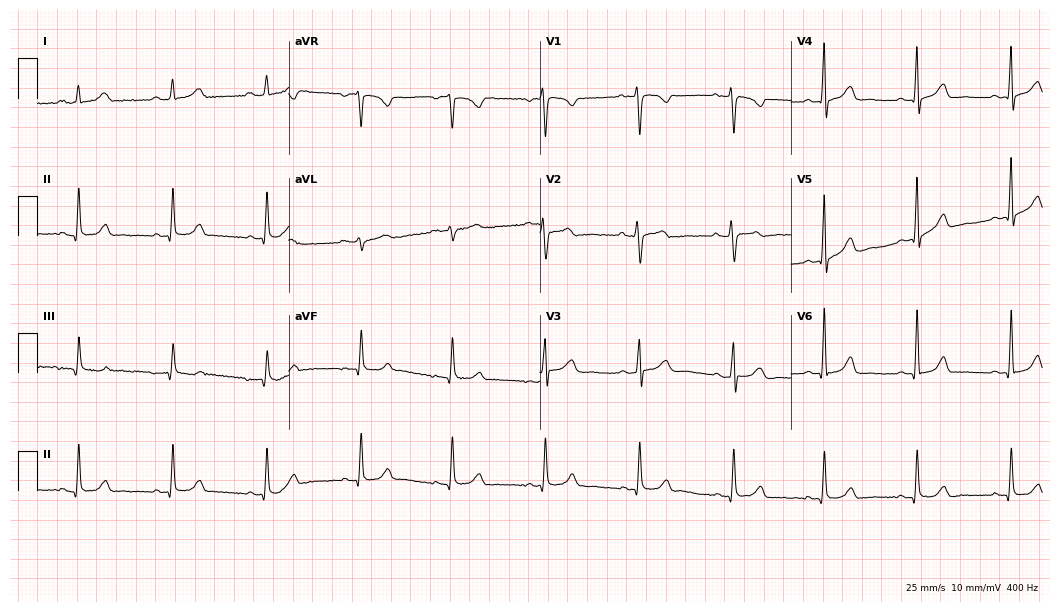
12-lead ECG (10.2-second recording at 400 Hz) from a 43-year-old female patient. Labelled as a normal ECG.